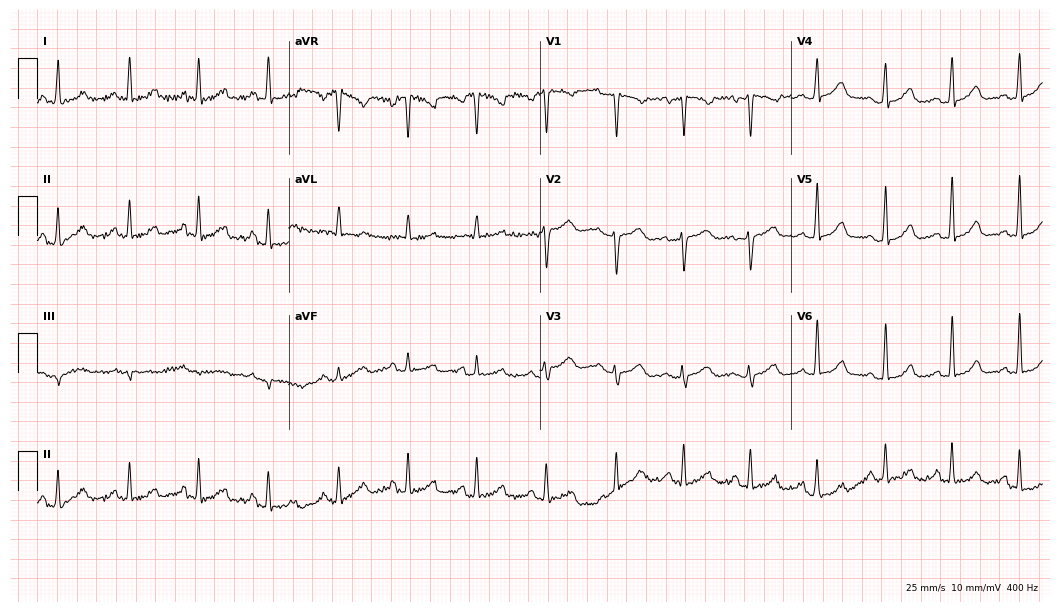
Resting 12-lead electrocardiogram. Patient: a female, 27 years old. Read as a normal ECG.